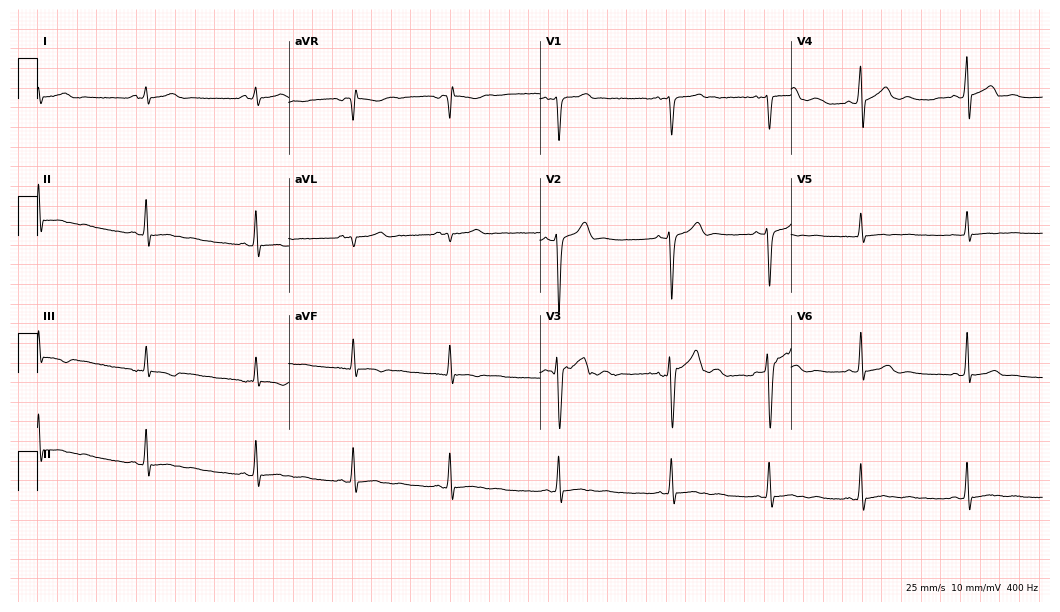
Resting 12-lead electrocardiogram (10.2-second recording at 400 Hz). Patient: a 26-year-old male. None of these six findings is recorded: first-degree AV block, right bundle branch block, left bundle branch block, sinus bradycardia, atrial fibrillation, sinus tachycardia. Only these six findings were labelled.